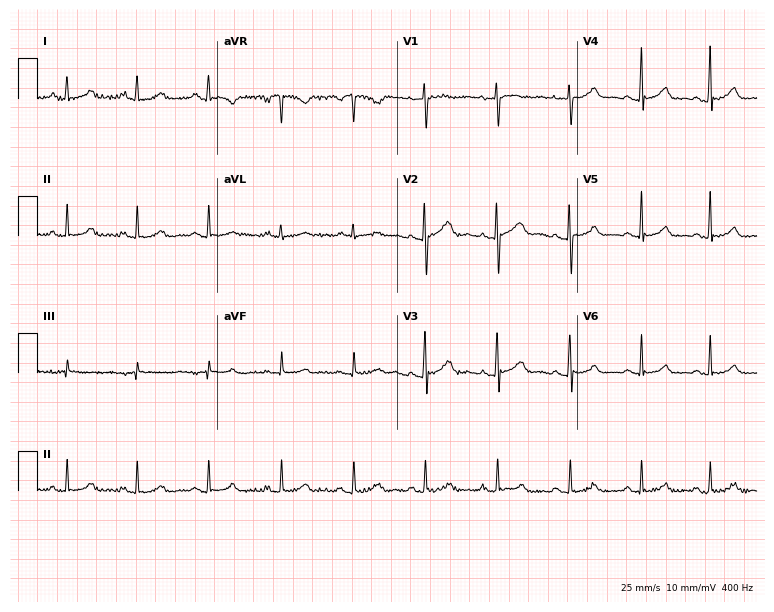
12-lead ECG from a woman, 23 years old. Recorded interpretation: within normal limits.